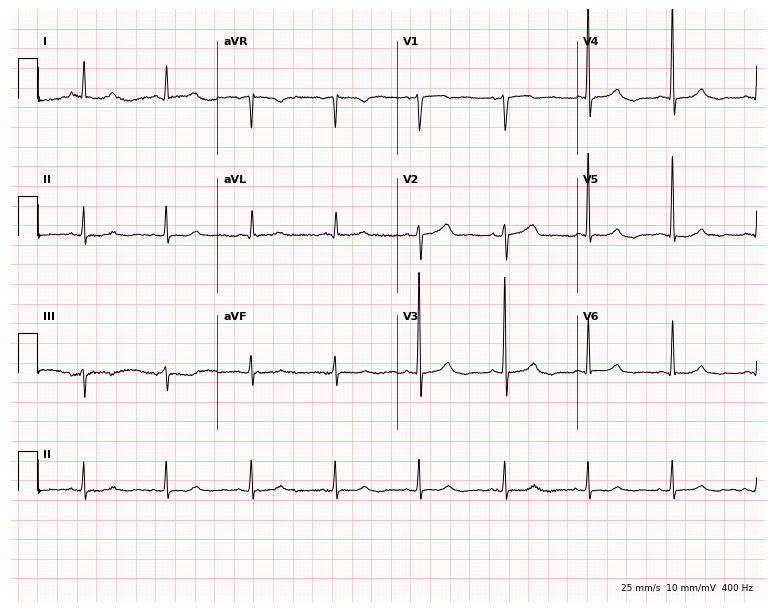
Electrocardiogram, an 81-year-old woman. Of the six screened findings (first-degree AV block, right bundle branch block, left bundle branch block, sinus bradycardia, atrial fibrillation, sinus tachycardia), none is recorded. Other findings, if any, are not listed.